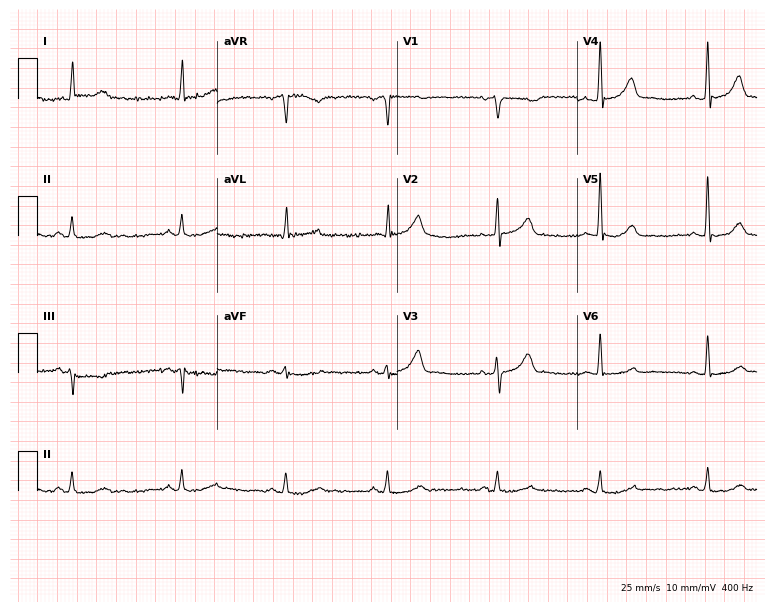
12-lead ECG from a 73-year-old male. Recorded interpretation: within normal limits.